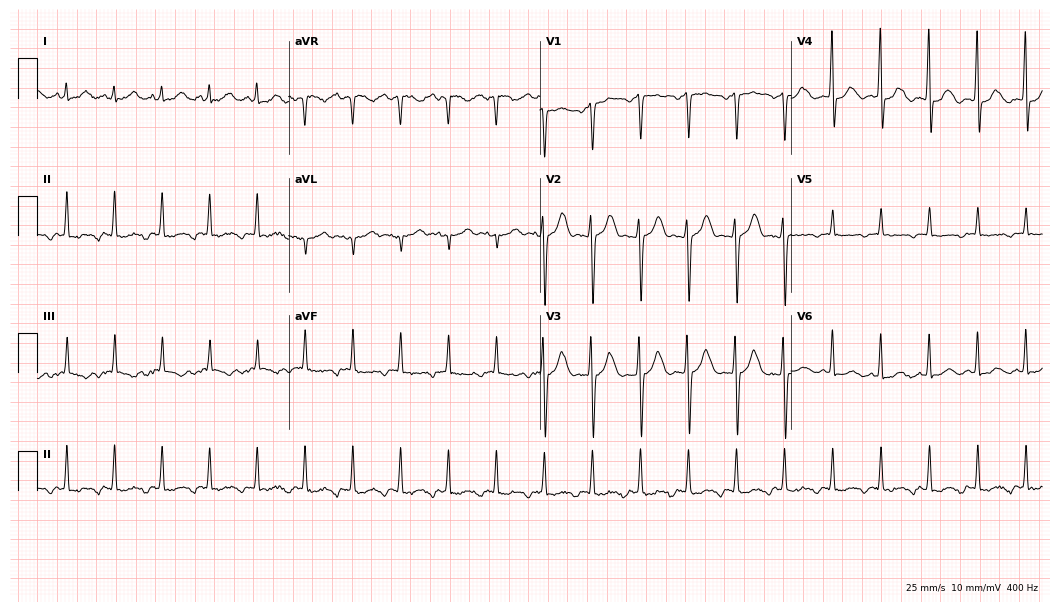
Standard 12-lead ECG recorded from a 51-year-old man (10.2-second recording at 400 Hz). The tracing shows sinus tachycardia (a sinus rate of 100 beats per minute or more).